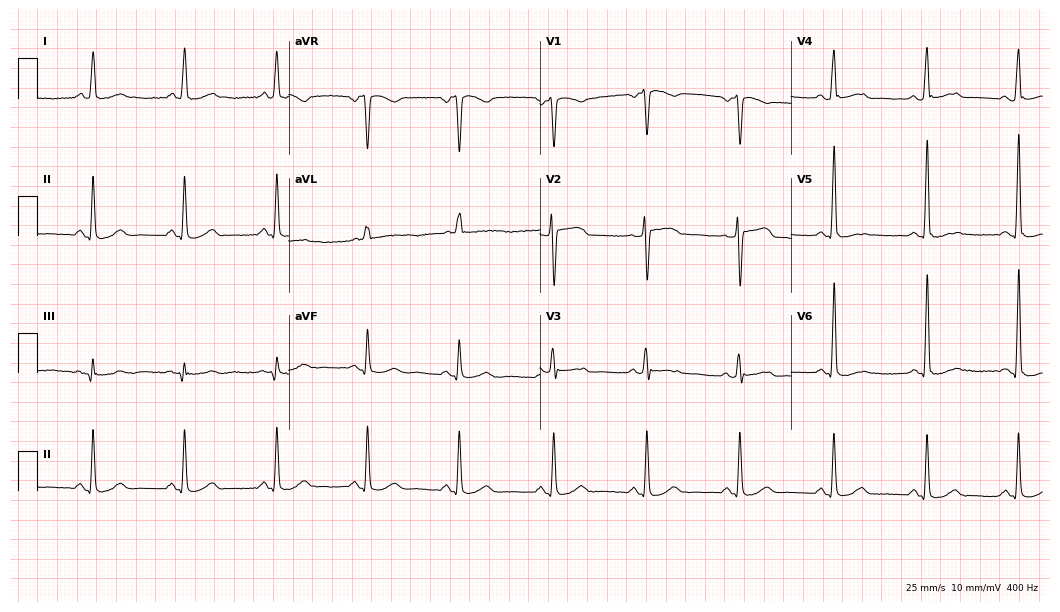
Electrocardiogram (10.2-second recording at 400 Hz), a male patient, 74 years old. Overall reading on record: normal ECG.